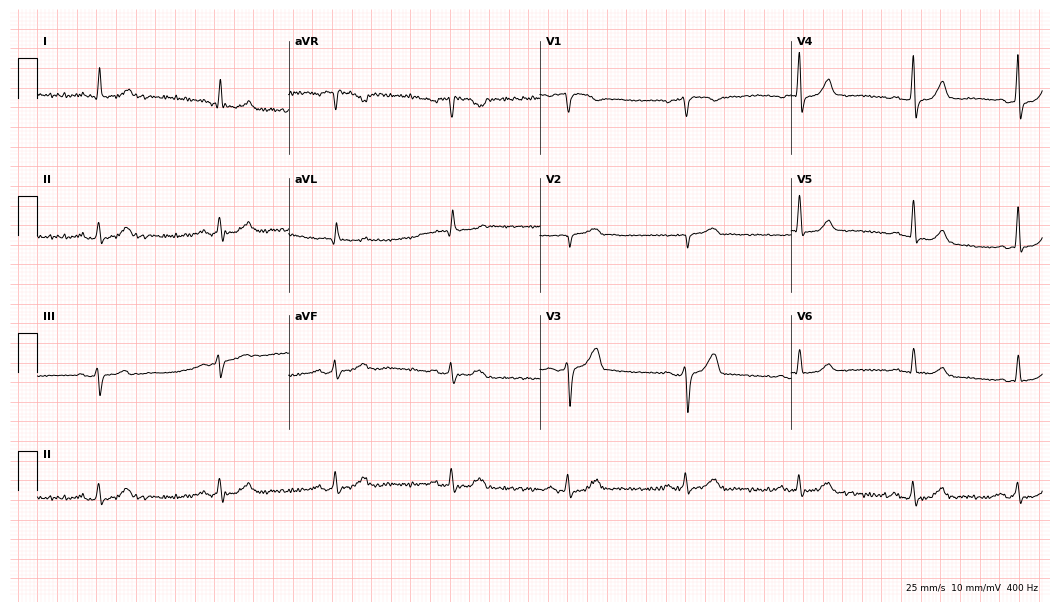
ECG (10.2-second recording at 400 Hz) — a male patient, 70 years old. Labelled as a normal ECG.